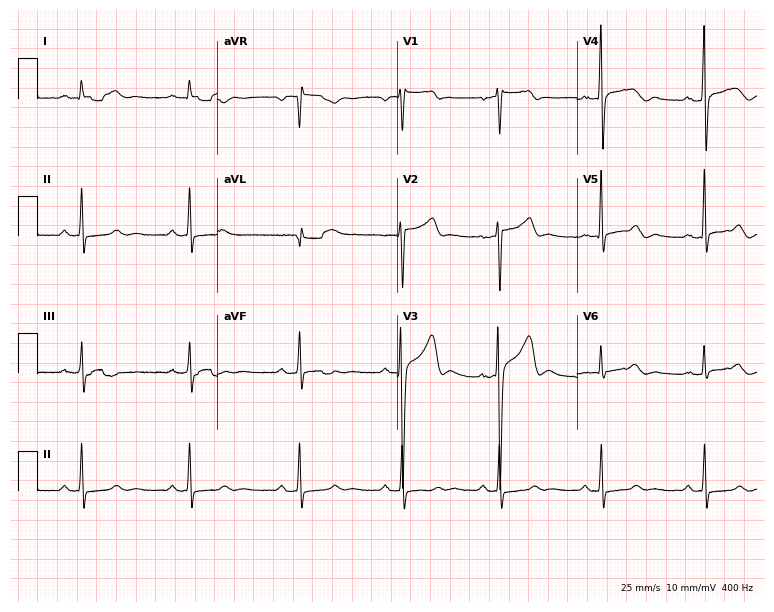
12-lead ECG from a 36-year-old male. Screened for six findings — first-degree AV block, right bundle branch block, left bundle branch block, sinus bradycardia, atrial fibrillation, sinus tachycardia — none is recorded. Other findings, if any, are not listed.